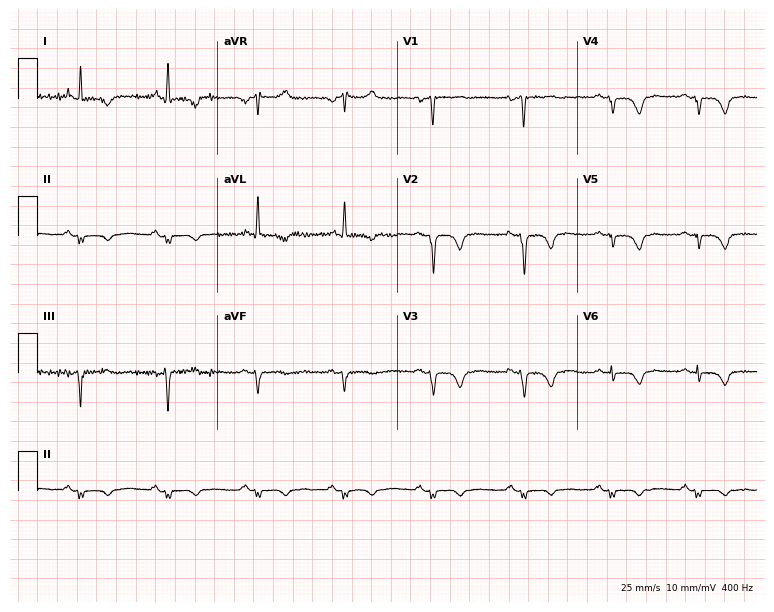
Electrocardiogram, a female patient, 53 years old. Of the six screened findings (first-degree AV block, right bundle branch block, left bundle branch block, sinus bradycardia, atrial fibrillation, sinus tachycardia), none is recorded.